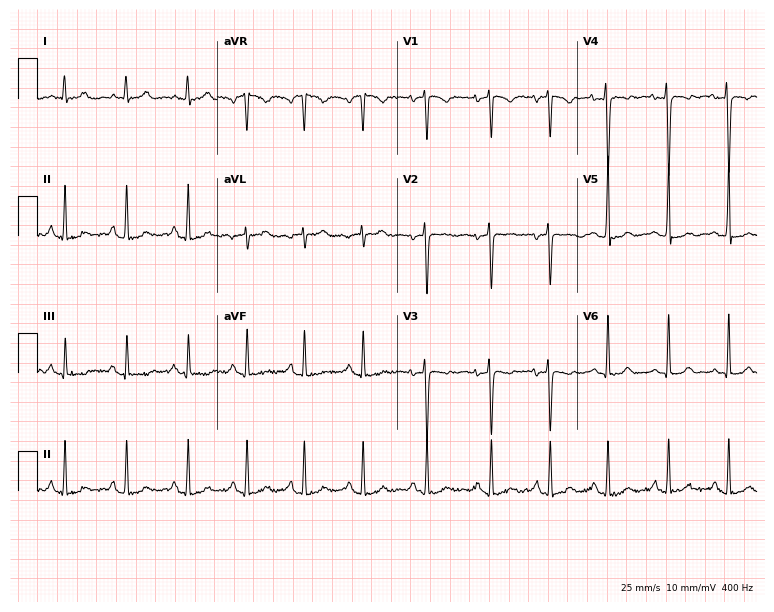
Electrocardiogram (7.3-second recording at 400 Hz), a female patient, 21 years old. Of the six screened findings (first-degree AV block, right bundle branch block, left bundle branch block, sinus bradycardia, atrial fibrillation, sinus tachycardia), none is recorded.